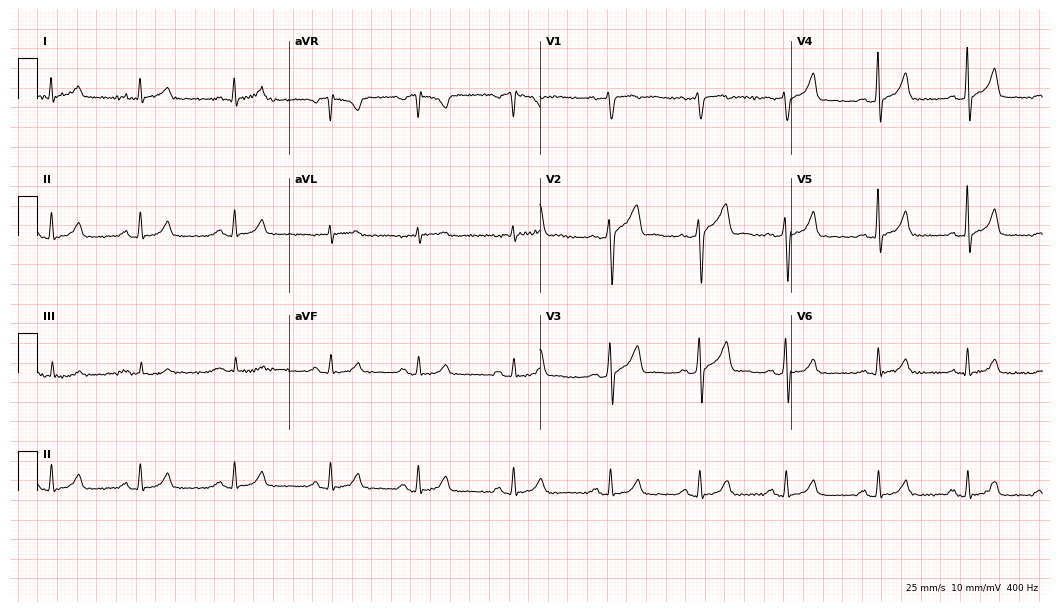
Resting 12-lead electrocardiogram. Patient: a man, 45 years old. Read as a normal ECG.